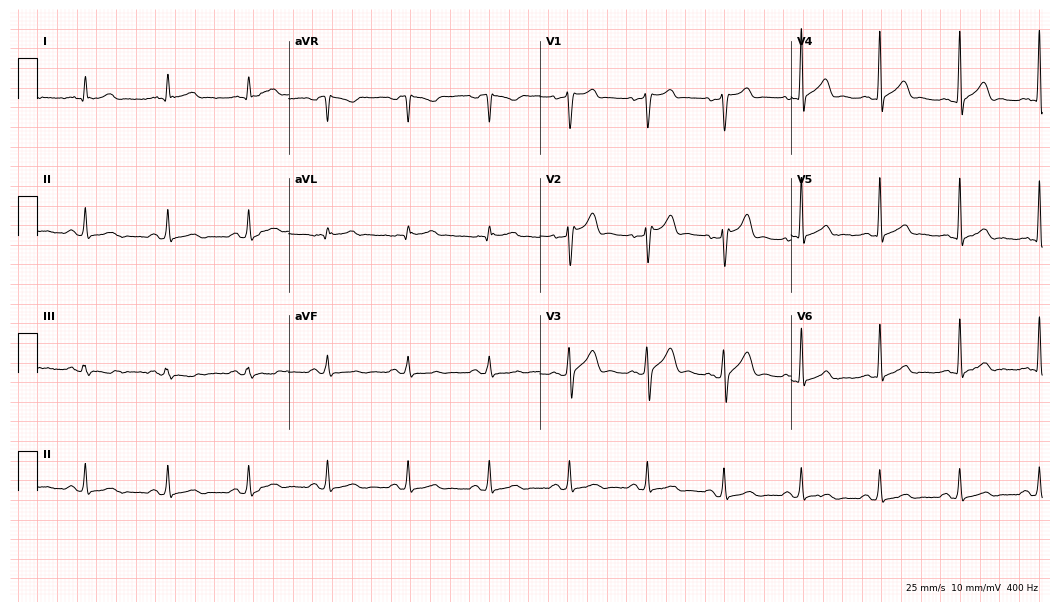
Electrocardiogram, a 37-year-old woman. Overall reading on record: normal ECG.